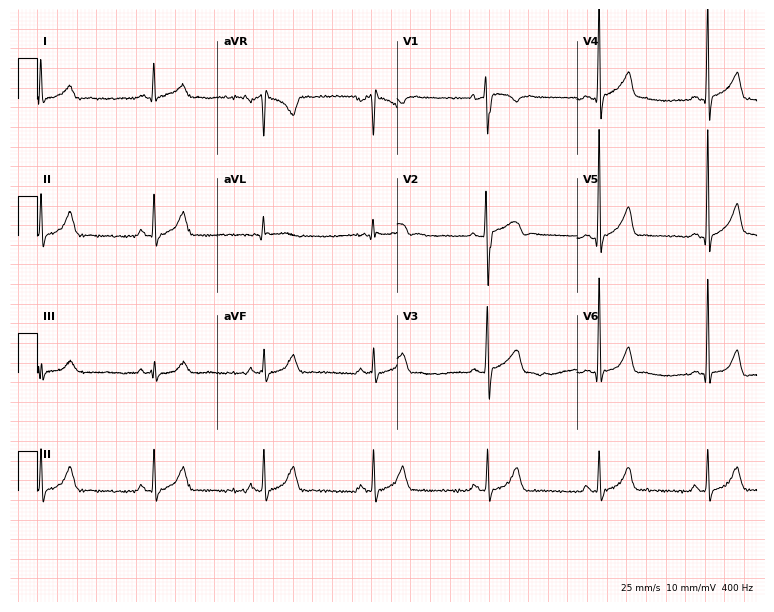
ECG (7.3-second recording at 400 Hz) — a man, 18 years old. Labelled as a normal ECG.